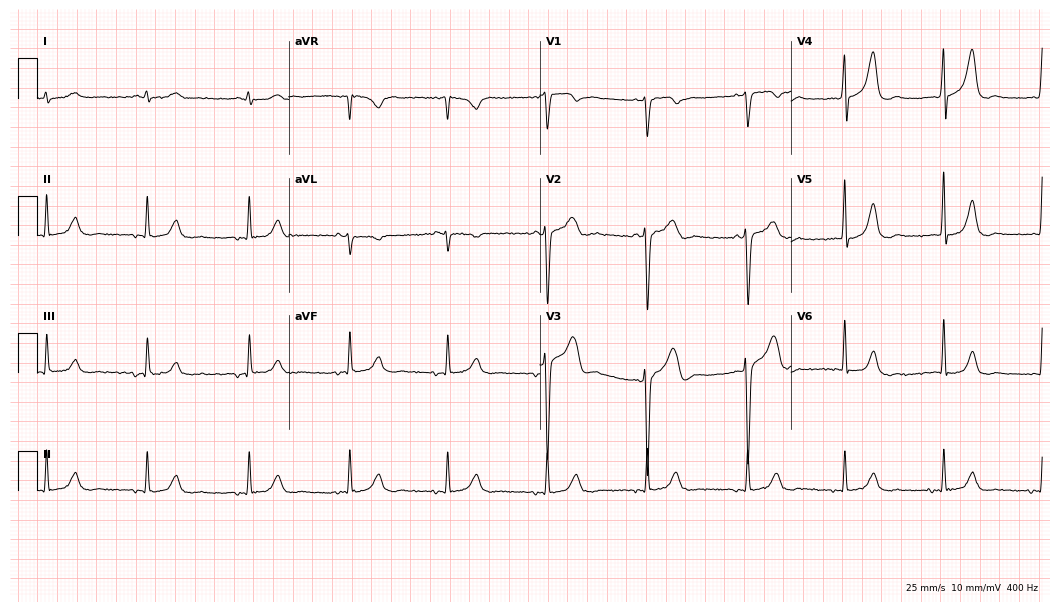
ECG — a male patient, 71 years old. Screened for six findings — first-degree AV block, right bundle branch block, left bundle branch block, sinus bradycardia, atrial fibrillation, sinus tachycardia — none is recorded.